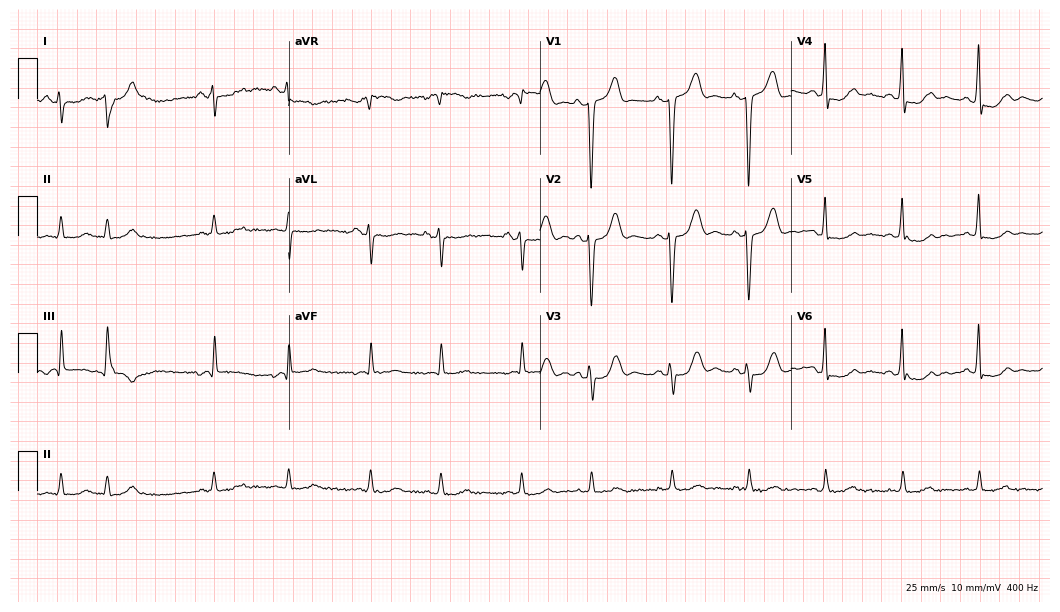
Standard 12-lead ECG recorded from a woman, 74 years old. None of these six findings is recorded: first-degree AV block, right bundle branch block, left bundle branch block, sinus bradycardia, atrial fibrillation, sinus tachycardia.